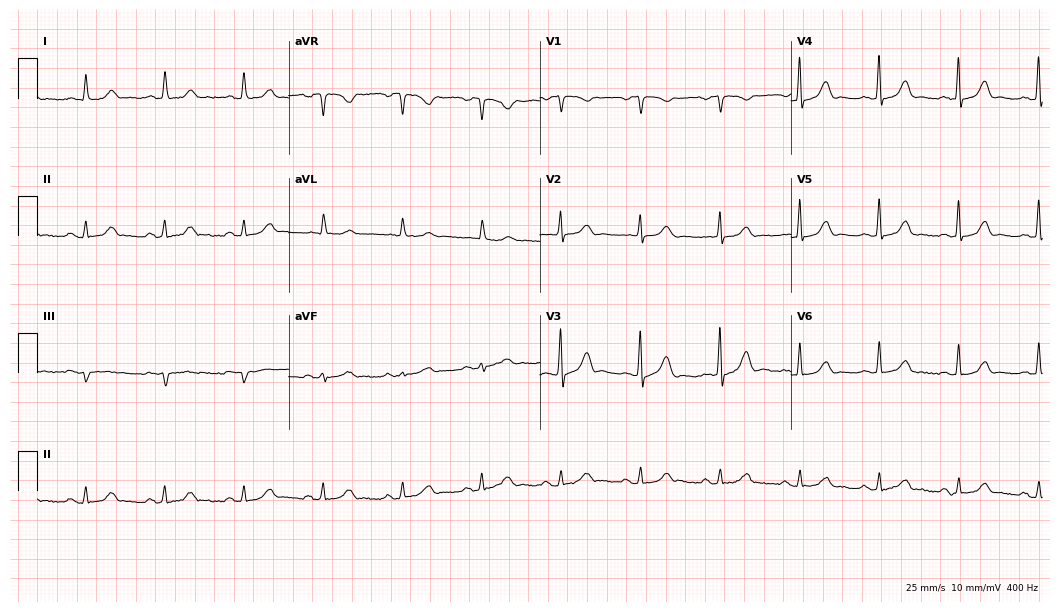
12-lead ECG from an 82-year-old woman. Recorded interpretation: within normal limits.